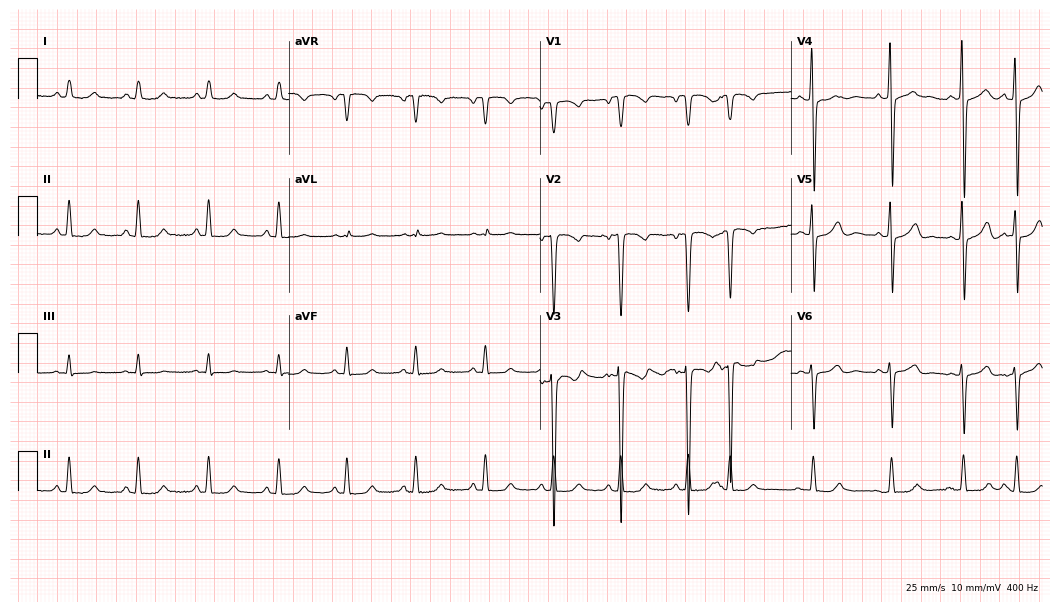
12-lead ECG from a 78-year-old male patient. No first-degree AV block, right bundle branch block, left bundle branch block, sinus bradycardia, atrial fibrillation or sinus tachycardia recorded for this tracing. Other findings, if any, are not listed.